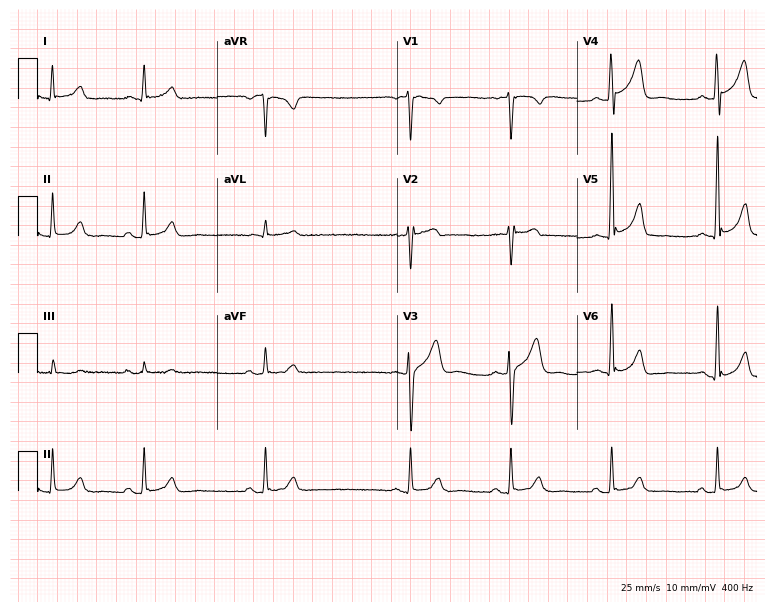
Standard 12-lead ECG recorded from a 29-year-old male patient. Read as a normal ECG.